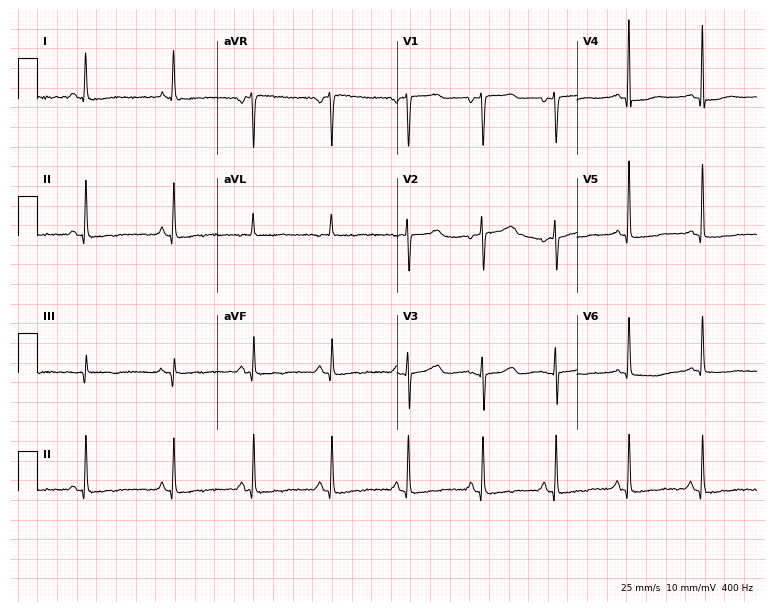
ECG (7.3-second recording at 400 Hz) — a female patient, 45 years old. Screened for six findings — first-degree AV block, right bundle branch block, left bundle branch block, sinus bradycardia, atrial fibrillation, sinus tachycardia — none is recorded.